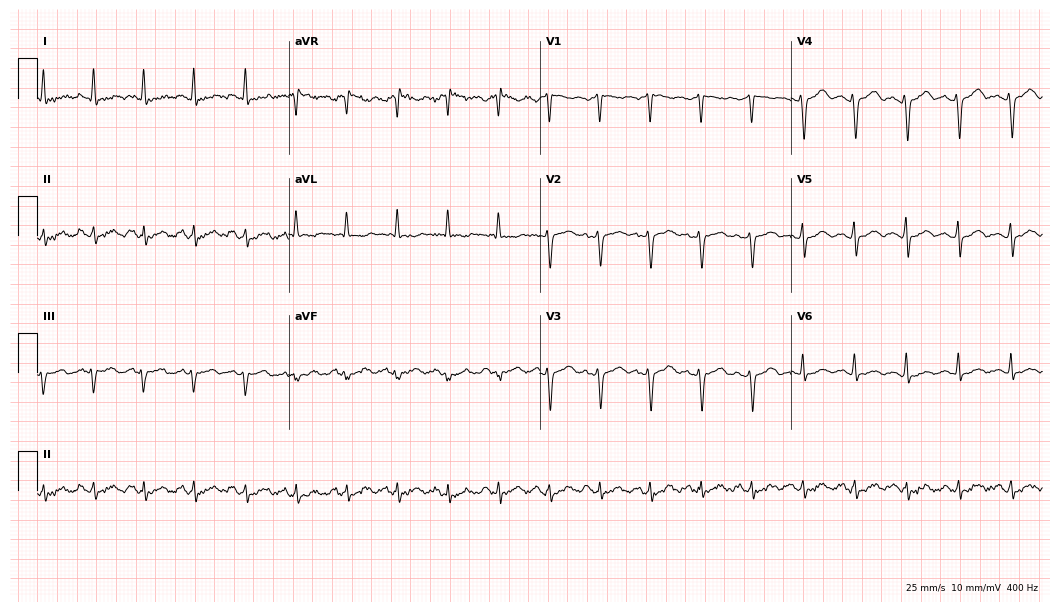
Standard 12-lead ECG recorded from a female, 53 years old. The tracing shows sinus tachycardia (a sinus rate of 100 beats per minute or more).